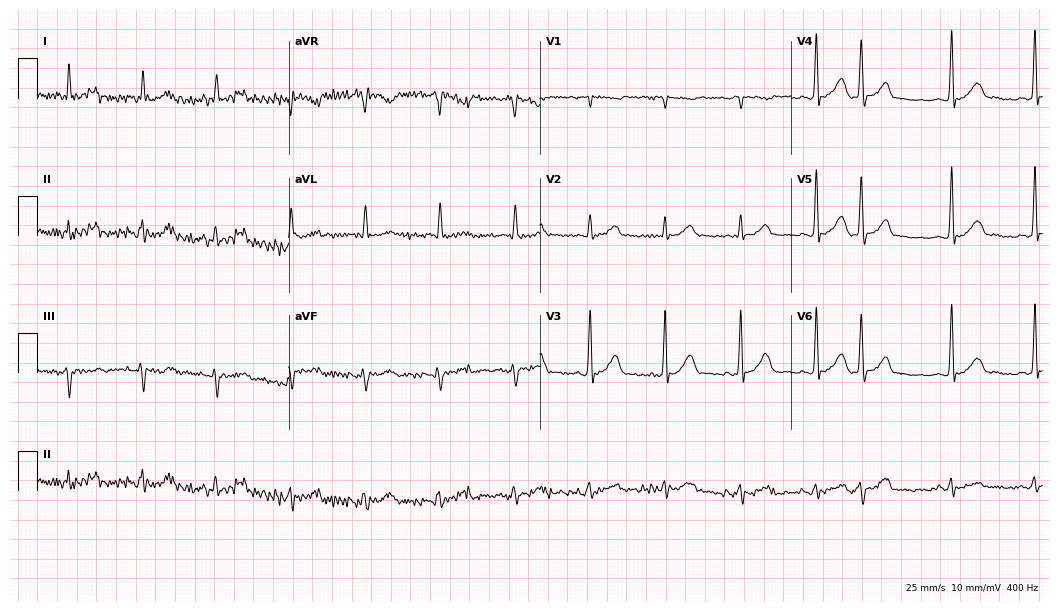
Resting 12-lead electrocardiogram (10.2-second recording at 400 Hz). Patient: a 79-year-old male. None of these six findings is recorded: first-degree AV block, right bundle branch block, left bundle branch block, sinus bradycardia, atrial fibrillation, sinus tachycardia.